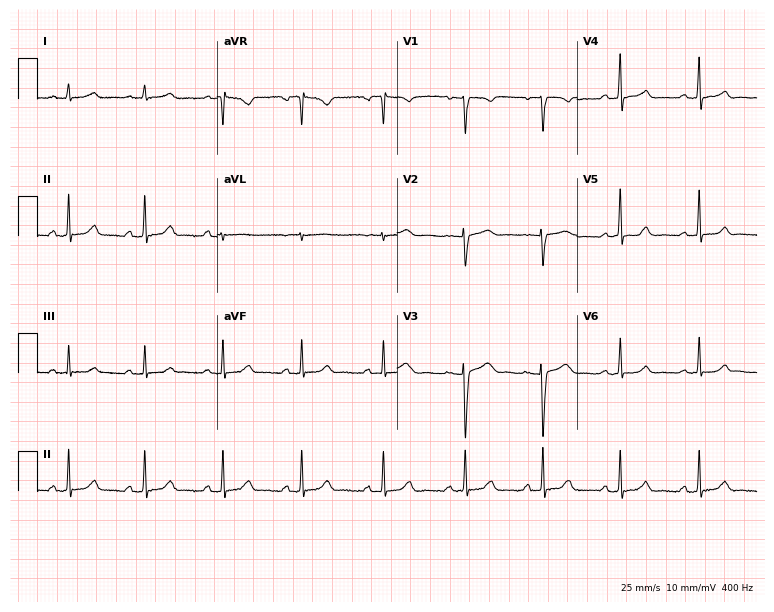
ECG — a woman, 51 years old. Labelled as a normal ECG.